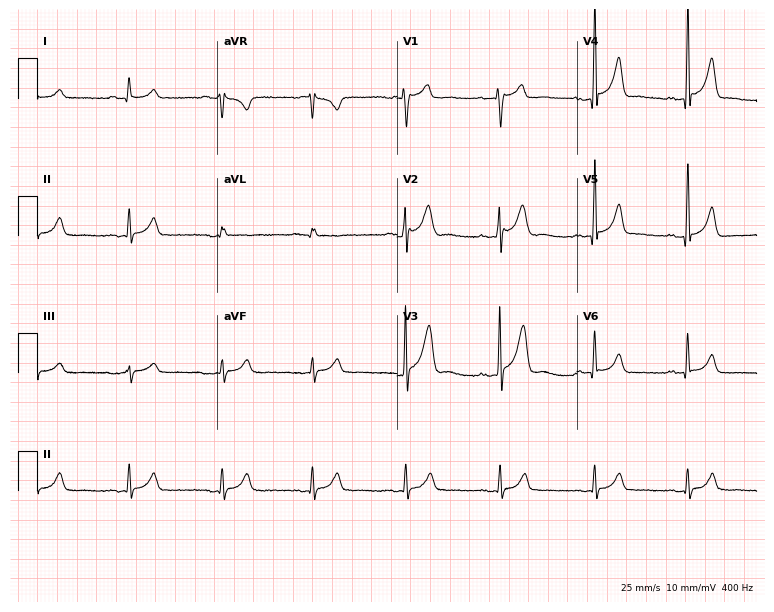
ECG — a male patient, 41 years old. Screened for six findings — first-degree AV block, right bundle branch block, left bundle branch block, sinus bradycardia, atrial fibrillation, sinus tachycardia — none is recorded. Findings outside these six are not listed.